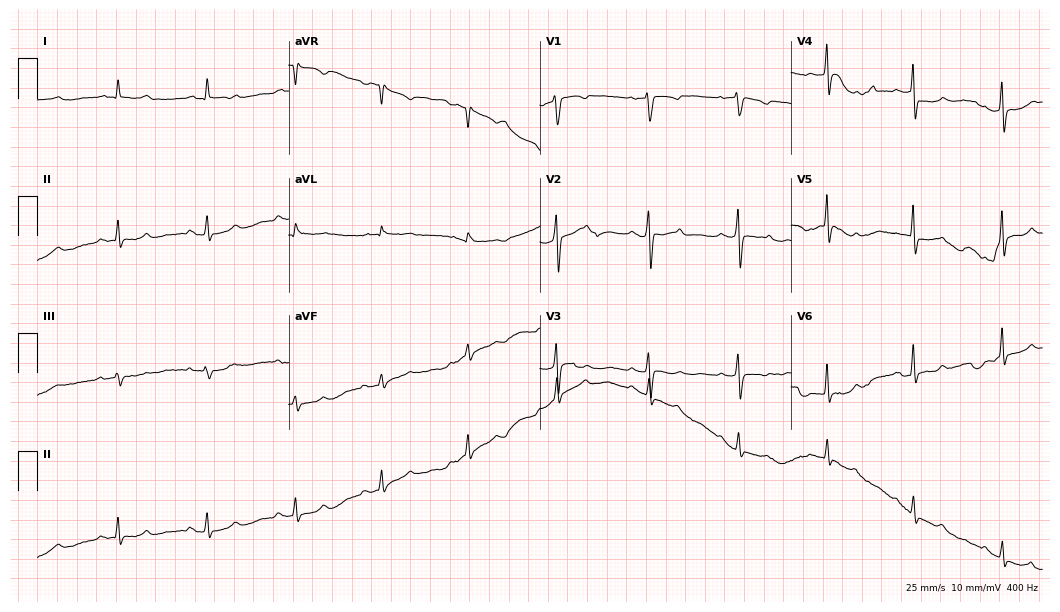
Electrocardiogram (10.2-second recording at 400 Hz), a female, 58 years old. Overall reading on record: normal ECG.